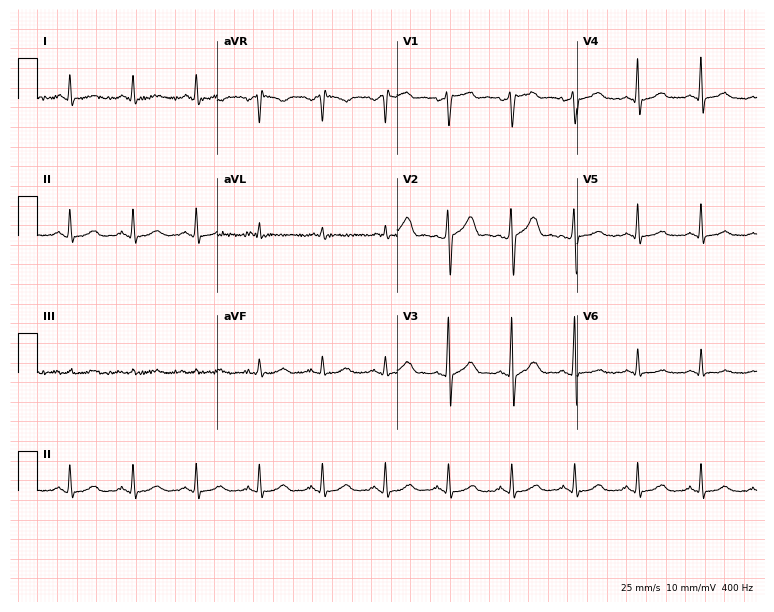
Resting 12-lead electrocardiogram (7.3-second recording at 400 Hz). Patient: a male, 46 years old. None of these six findings is recorded: first-degree AV block, right bundle branch block, left bundle branch block, sinus bradycardia, atrial fibrillation, sinus tachycardia.